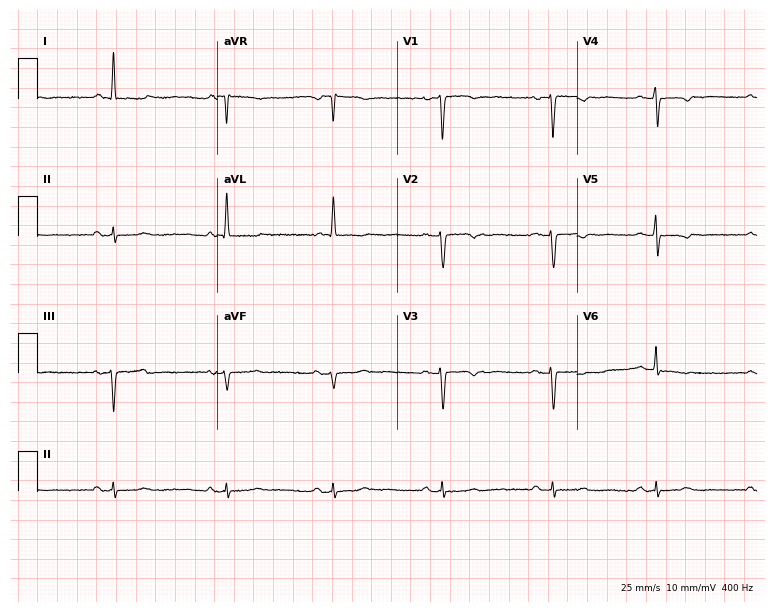
12-lead ECG from a 63-year-old female patient. No first-degree AV block, right bundle branch block, left bundle branch block, sinus bradycardia, atrial fibrillation or sinus tachycardia recorded for this tracing. Only these six findings were labelled.